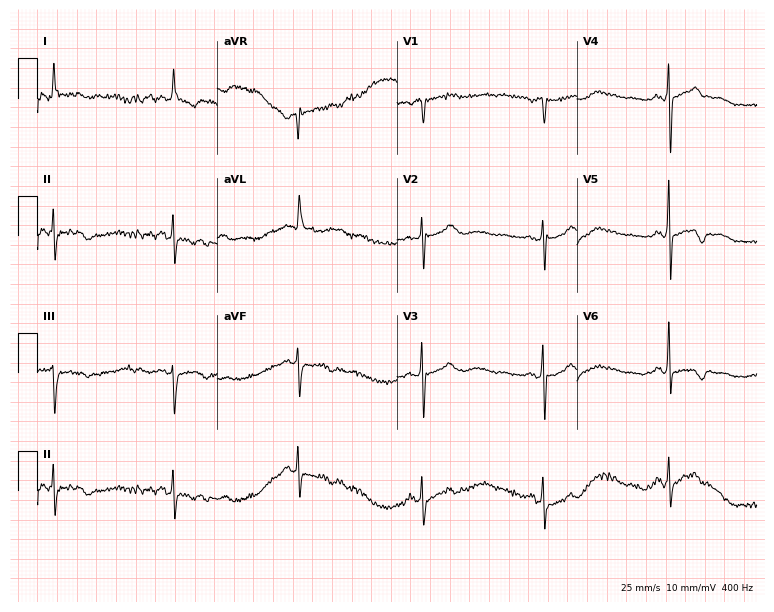
12-lead ECG from a woman, 68 years old (7.3-second recording at 400 Hz). No first-degree AV block, right bundle branch block, left bundle branch block, sinus bradycardia, atrial fibrillation or sinus tachycardia recorded for this tracing.